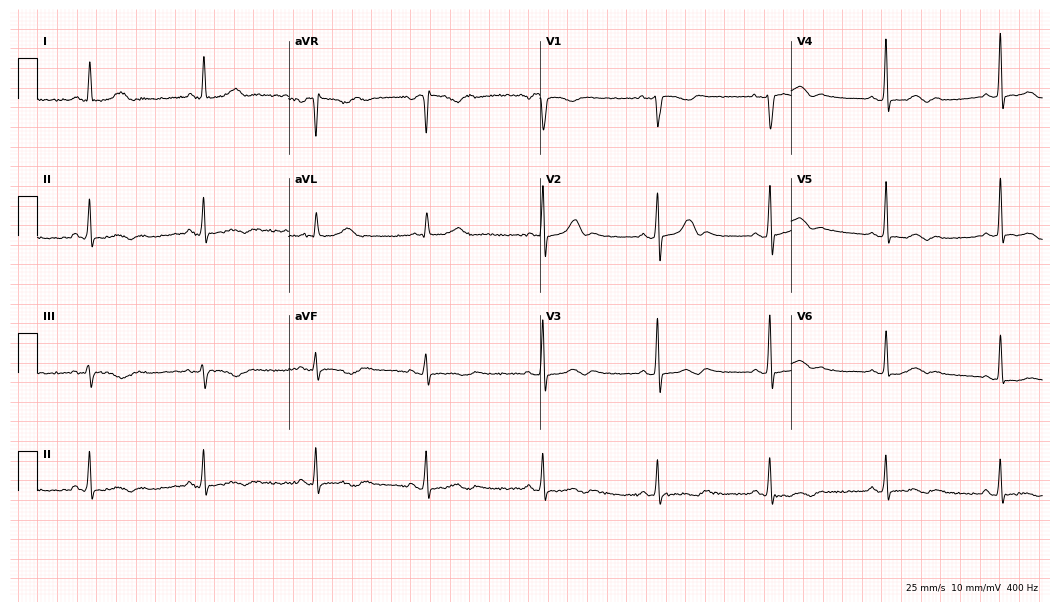
Electrocardiogram (10.2-second recording at 400 Hz), a 54-year-old female patient. Of the six screened findings (first-degree AV block, right bundle branch block, left bundle branch block, sinus bradycardia, atrial fibrillation, sinus tachycardia), none is recorded. Only these six findings were labelled.